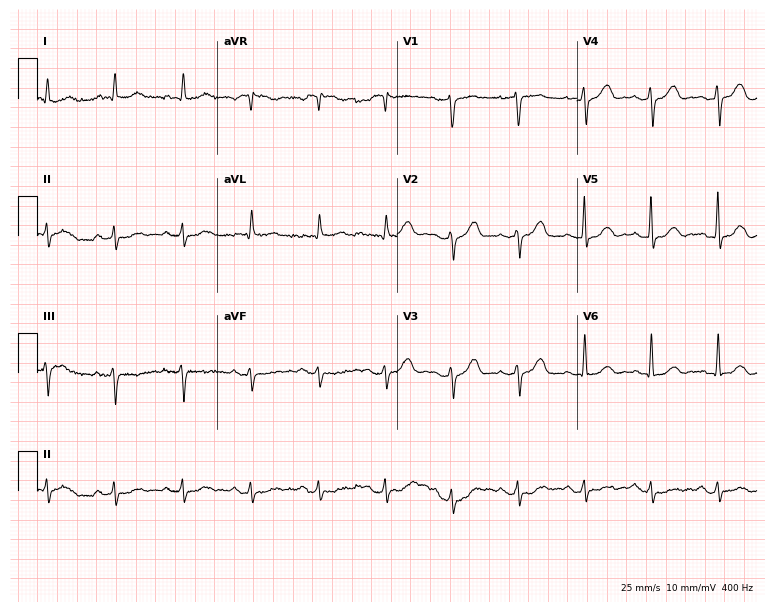
ECG — a 79-year-old man. Labelled as a normal ECG.